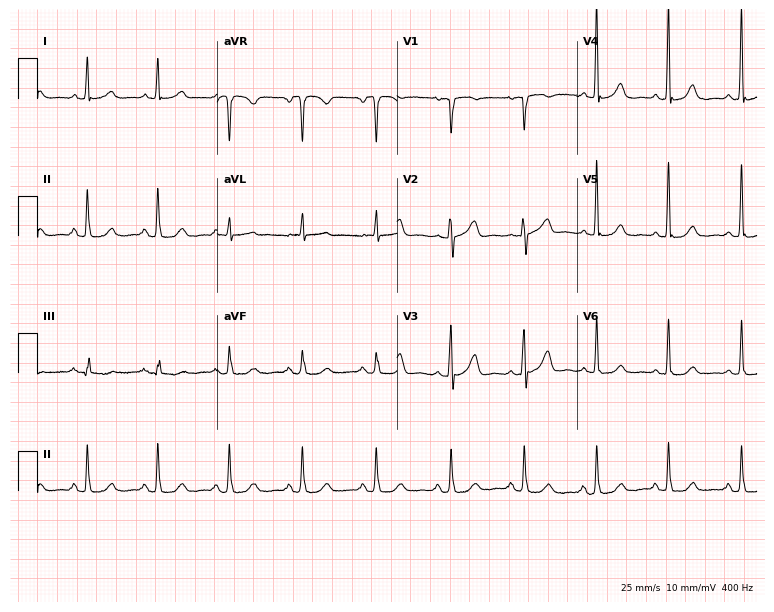
Electrocardiogram (7.3-second recording at 400 Hz), a woman, 73 years old. Overall reading on record: normal ECG.